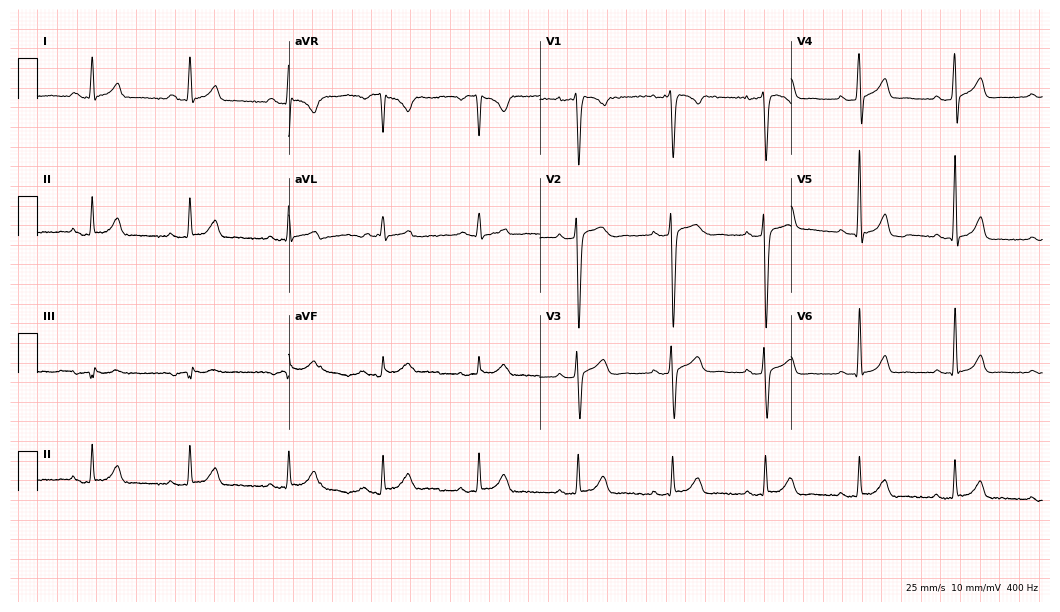
12-lead ECG from a male patient, 29 years old. Labelled as a normal ECG.